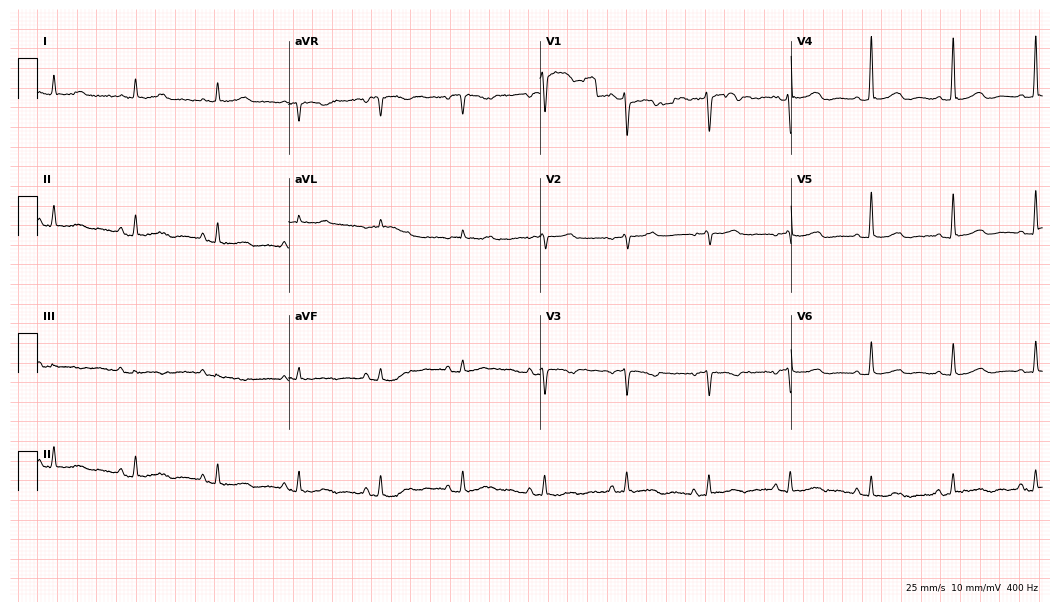
Electrocardiogram (10.2-second recording at 400 Hz), a woman, 76 years old. Of the six screened findings (first-degree AV block, right bundle branch block, left bundle branch block, sinus bradycardia, atrial fibrillation, sinus tachycardia), none is recorded.